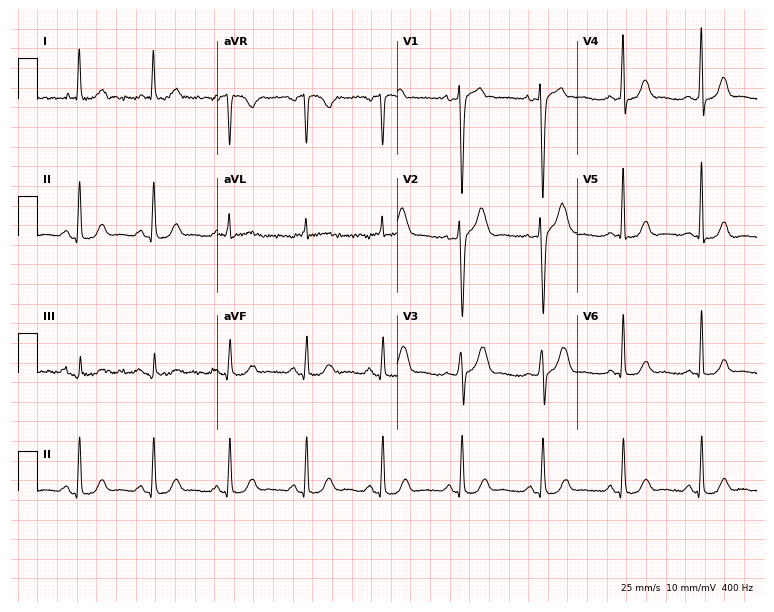
12-lead ECG from a 47-year-old woman (7.3-second recording at 400 Hz). Recorded interpretation: within normal limits.